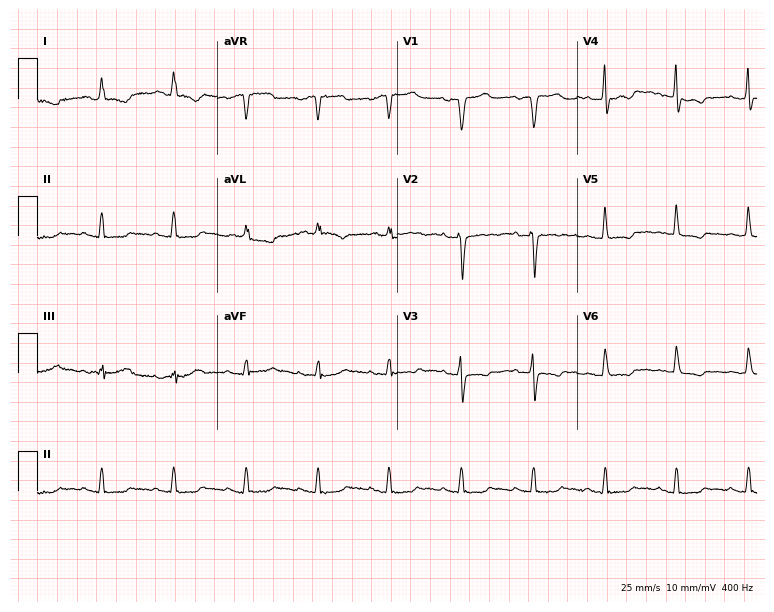
12-lead ECG from a woman, 67 years old (7.3-second recording at 400 Hz). No first-degree AV block, right bundle branch block, left bundle branch block, sinus bradycardia, atrial fibrillation or sinus tachycardia recorded for this tracing.